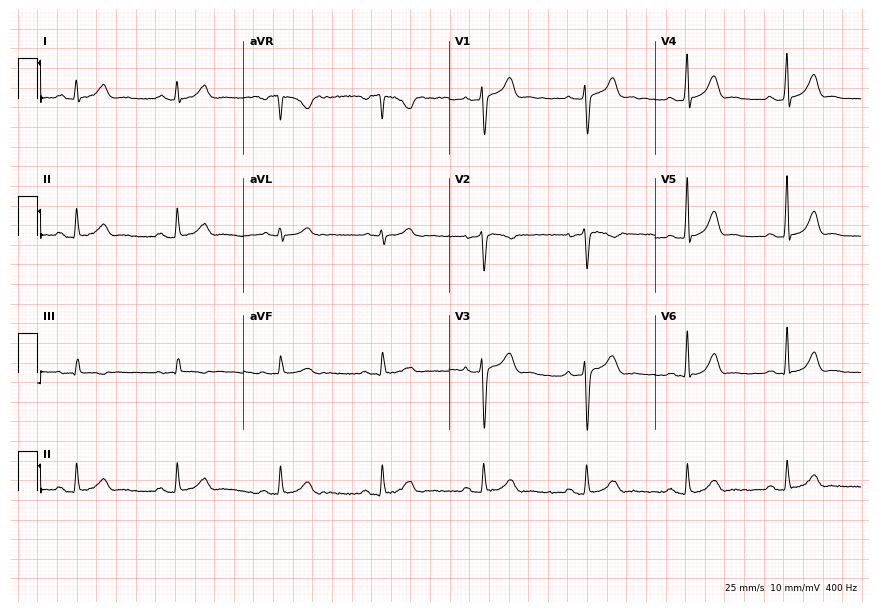
12-lead ECG from a 44-year-old male patient. Labelled as a normal ECG.